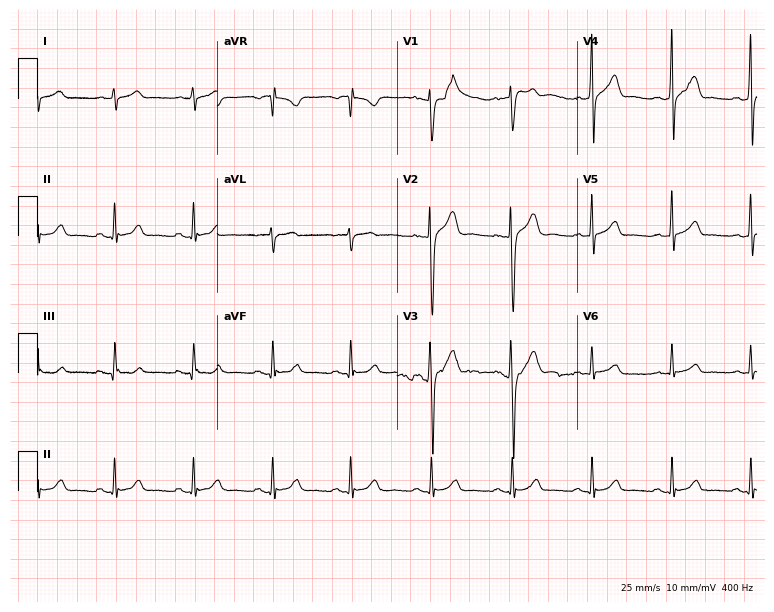
12-lead ECG from a male patient, 29 years old. Screened for six findings — first-degree AV block, right bundle branch block, left bundle branch block, sinus bradycardia, atrial fibrillation, sinus tachycardia — none is recorded. Other findings, if any, are not listed.